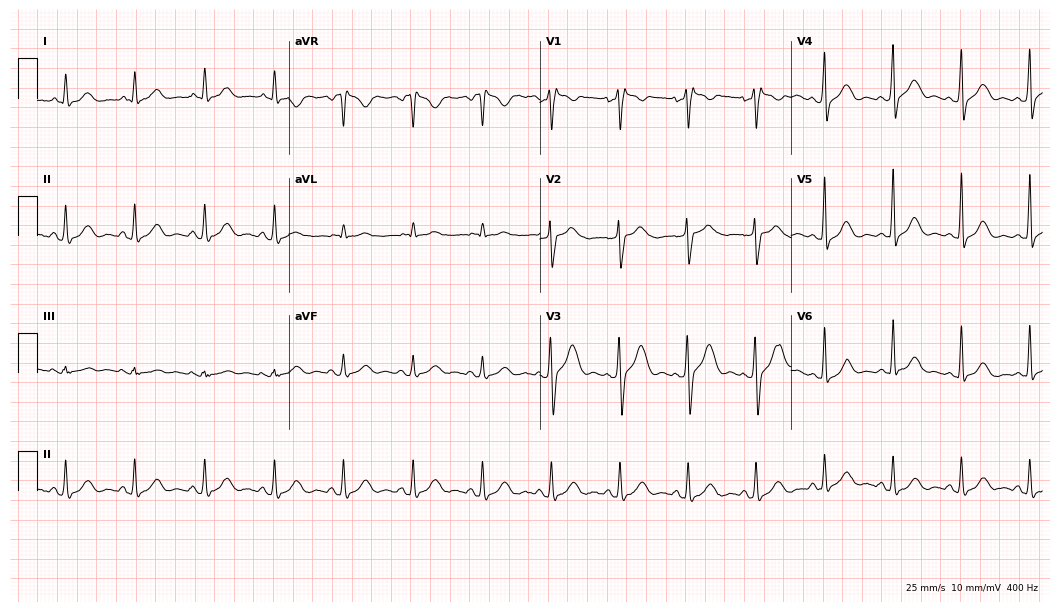
Resting 12-lead electrocardiogram (10.2-second recording at 400 Hz). Patient: an 81-year-old male. Read as a normal ECG.